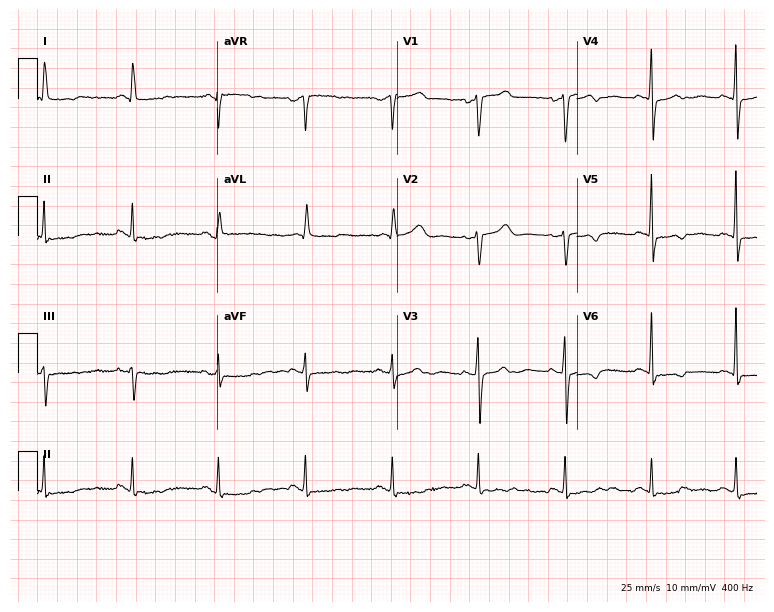
Electrocardiogram (7.3-second recording at 400 Hz), a 61-year-old female patient. Of the six screened findings (first-degree AV block, right bundle branch block (RBBB), left bundle branch block (LBBB), sinus bradycardia, atrial fibrillation (AF), sinus tachycardia), none is recorded.